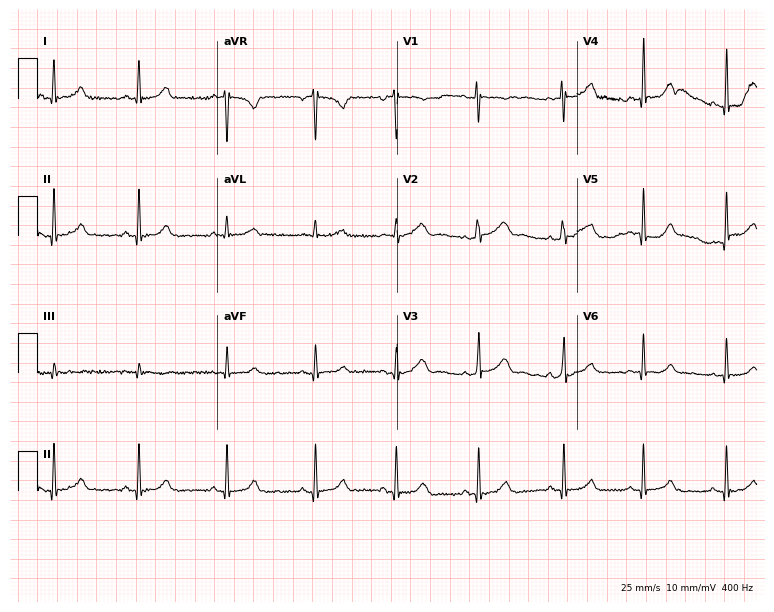
12-lead ECG (7.3-second recording at 400 Hz) from a male, 26 years old. Labelled as a normal ECG.